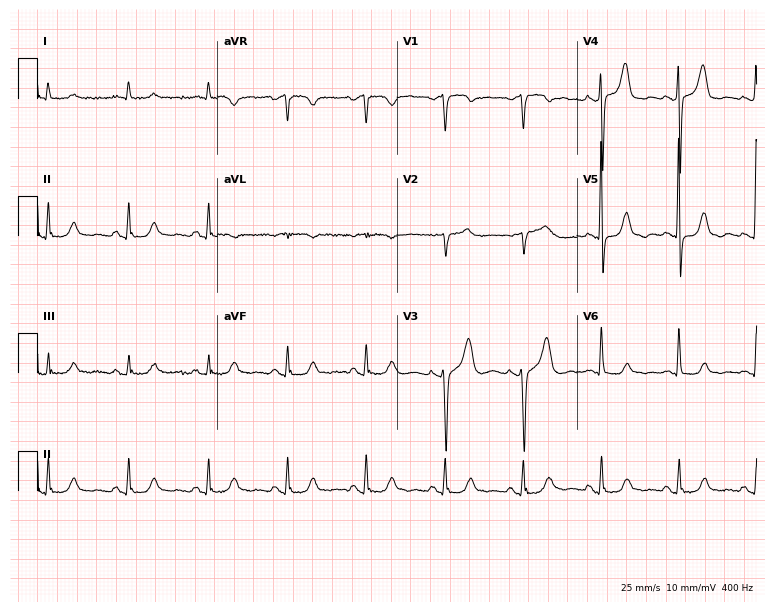
12-lead ECG from a 68-year-old male (7.3-second recording at 400 Hz). No first-degree AV block, right bundle branch block, left bundle branch block, sinus bradycardia, atrial fibrillation or sinus tachycardia recorded for this tracing. Only these six findings were labelled.